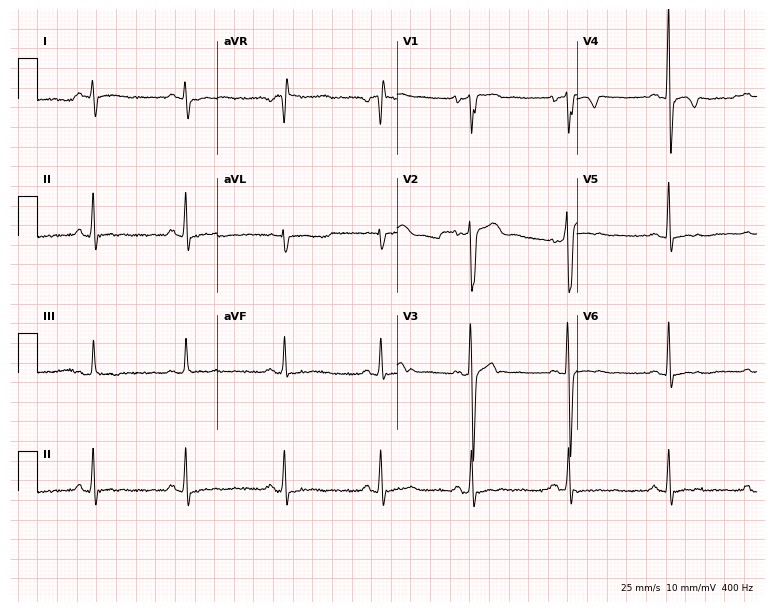
Electrocardiogram (7.3-second recording at 400 Hz), a 34-year-old male. Of the six screened findings (first-degree AV block, right bundle branch block (RBBB), left bundle branch block (LBBB), sinus bradycardia, atrial fibrillation (AF), sinus tachycardia), none is recorded. Only these six findings were labelled.